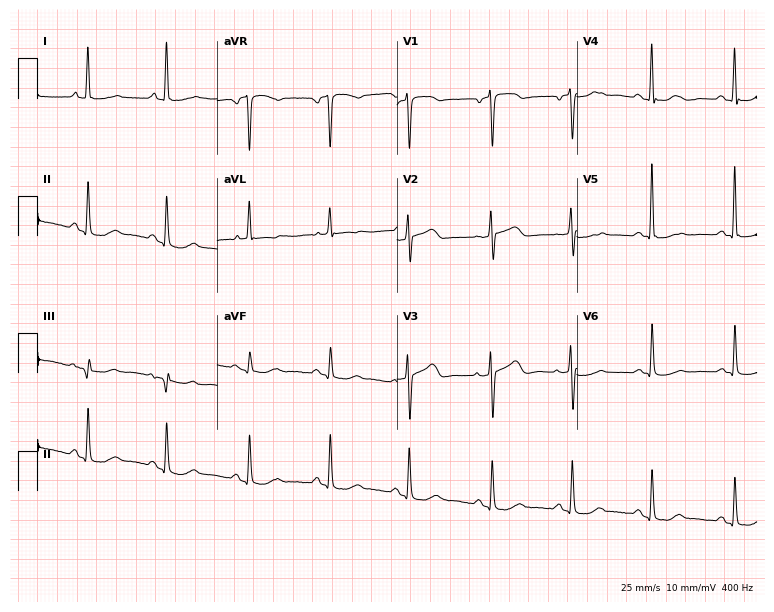
12-lead ECG (7.3-second recording at 400 Hz) from a 75-year-old woman. Screened for six findings — first-degree AV block, right bundle branch block, left bundle branch block, sinus bradycardia, atrial fibrillation, sinus tachycardia — none is recorded.